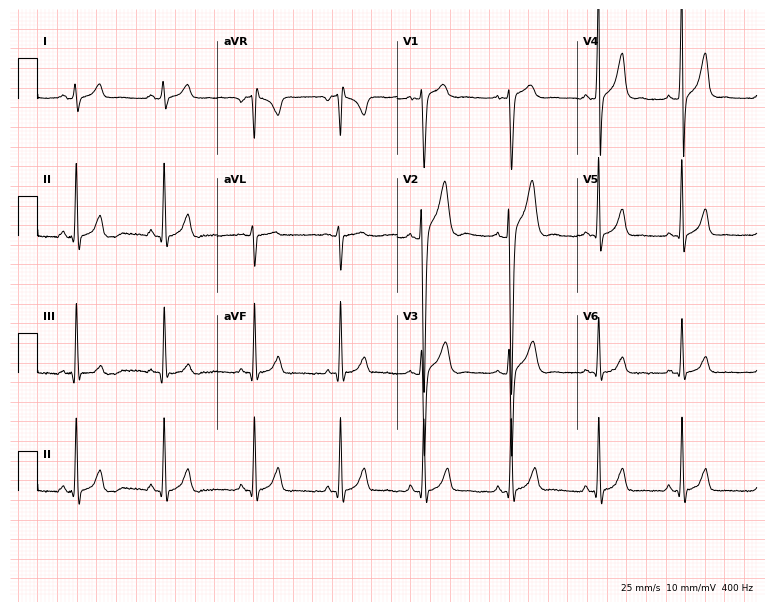
12-lead ECG from a 20-year-old male (7.3-second recording at 400 Hz). Recorded interpretation: within normal limits.